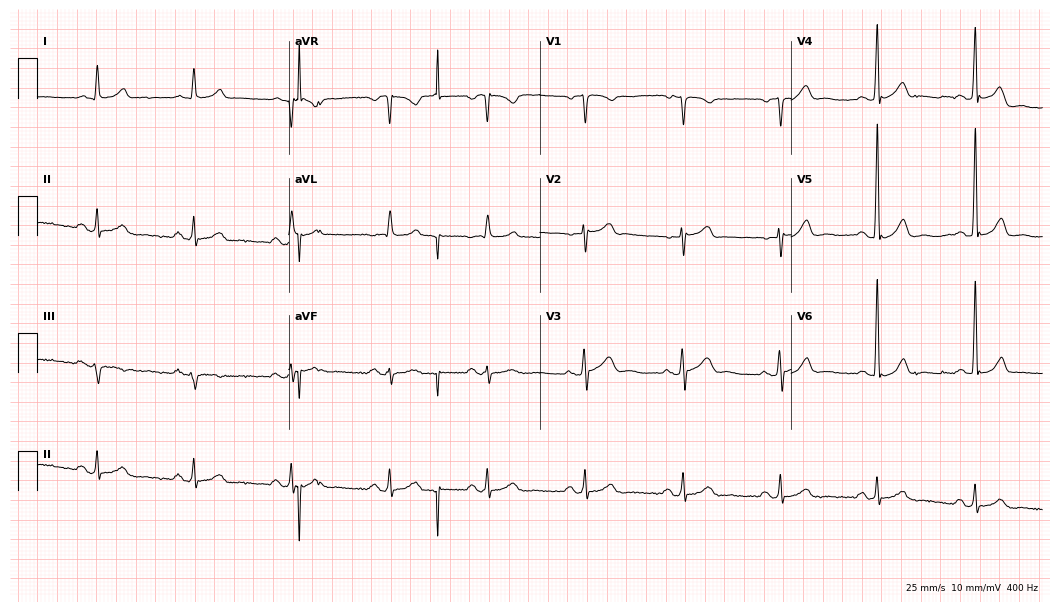
Resting 12-lead electrocardiogram. Patient: a male, 61 years old. None of these six findings is recorded: first-degree AV block, right bundle branch block, left bundle branch block, sinus bradycardia, atrial fibrillation, sinus tachycardia.